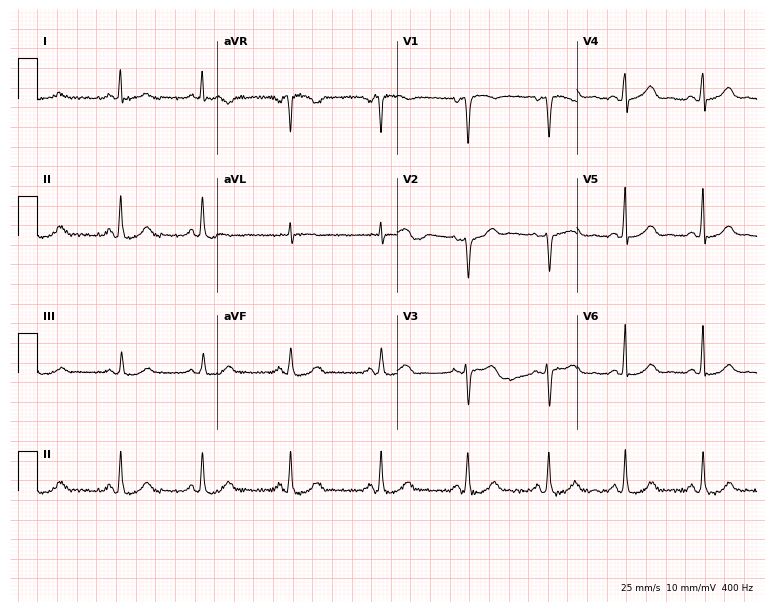
Resting 12-lead electrocardiogram (7.3-second recording at 400 Hz). Patient: a woman, 52 years old. None of these six findings is recorded: first-degree AV block, right bundle branch block, left bundle branch block, sinus bradycardia, atrial fibrillation, sinus tachycardia. Other findings, if any, are not listed.